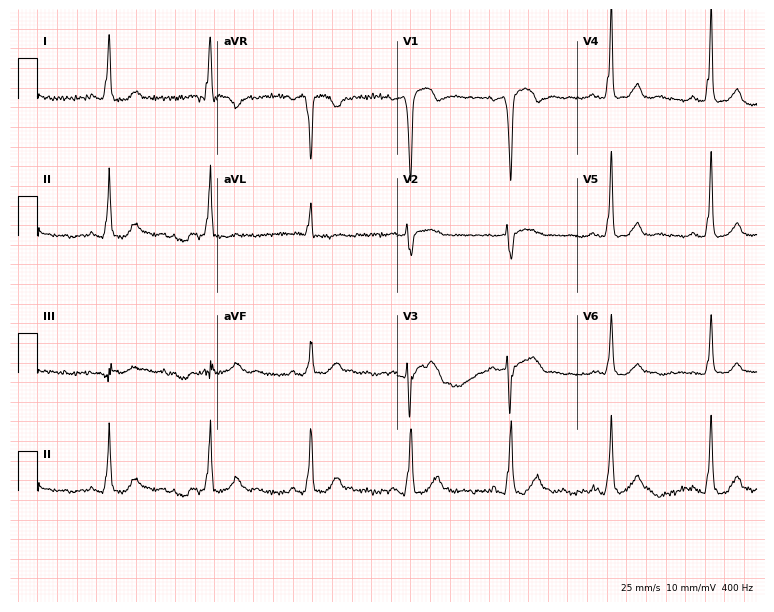
ECG — an 83-year-old female. Screened for six findings — first-degree AV block, right bundle branch block, left bundle branch block, sinus bradycardia, atrial fibrillation, sinus tachycardia — none is recorded. Only these six findings were labelled.